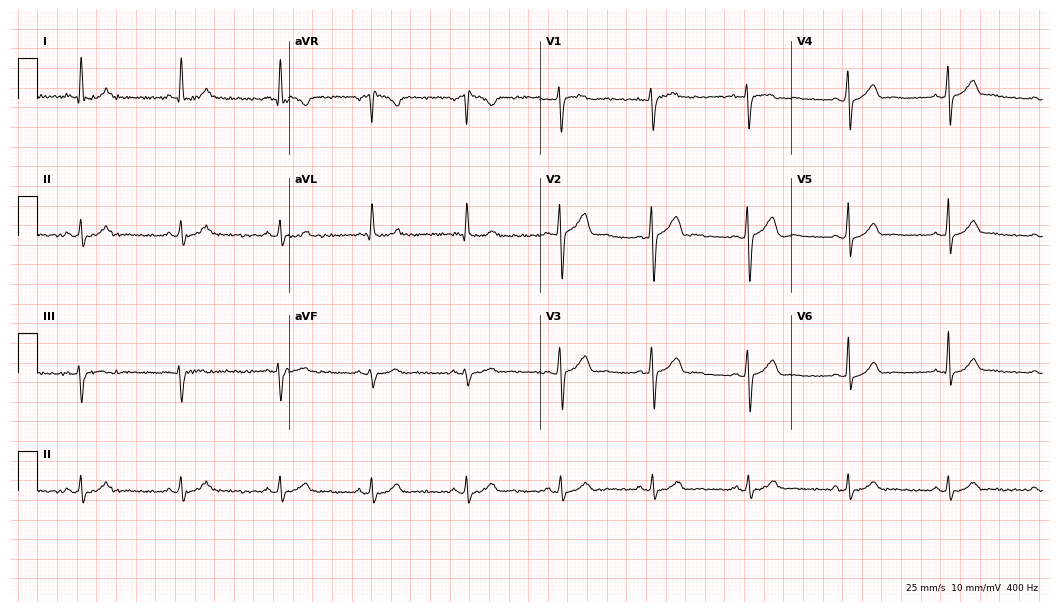
Standard 12-lead ECG recorded from a 35-year-old male (10.2-second recording at 400 Hz). Read as a normal ECG.